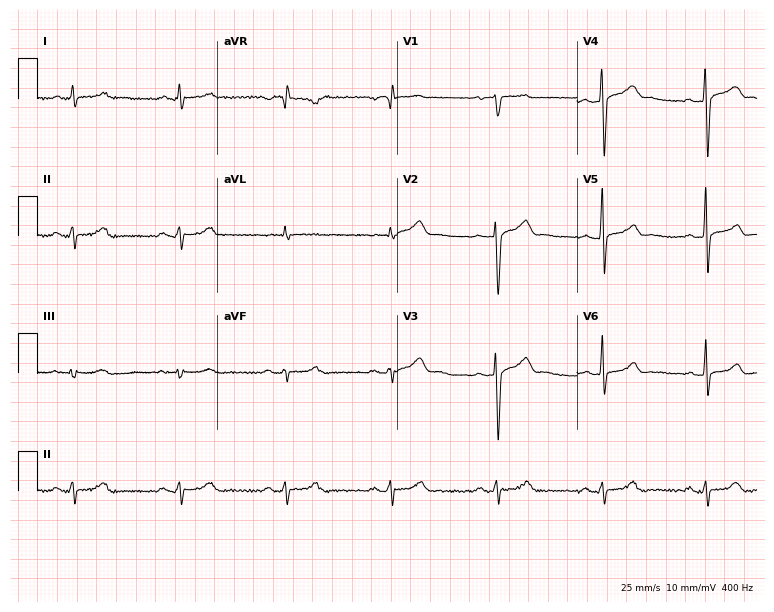
12-lead ECG (7.3-second recording at 400 Hz) from a 62-year-old male patient. Screened for six findings — first-degree AV block, right bundle branch block (RBBB), left bundle branch block (LBBB), sinus bradycardia, atrial fibrillation (AF), sinus tachycardia — none is recorded.